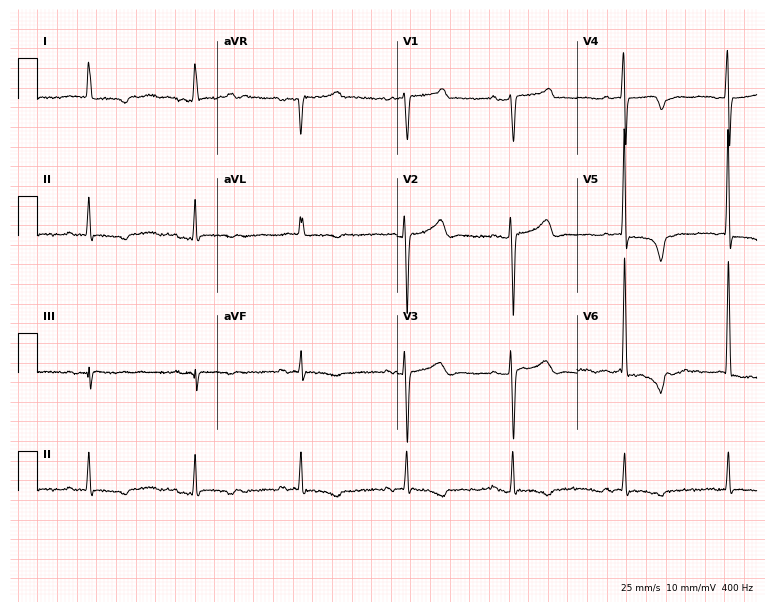
Electrocardiogram, an 86-year-old male patient. Of the six screened findings (first-degree AV block, right bundle branch block, left bundle branch block, sinus bradycardia, atrial fibrillation, sinus tachycardia), none is recorded. Findings outside these six are not listed.